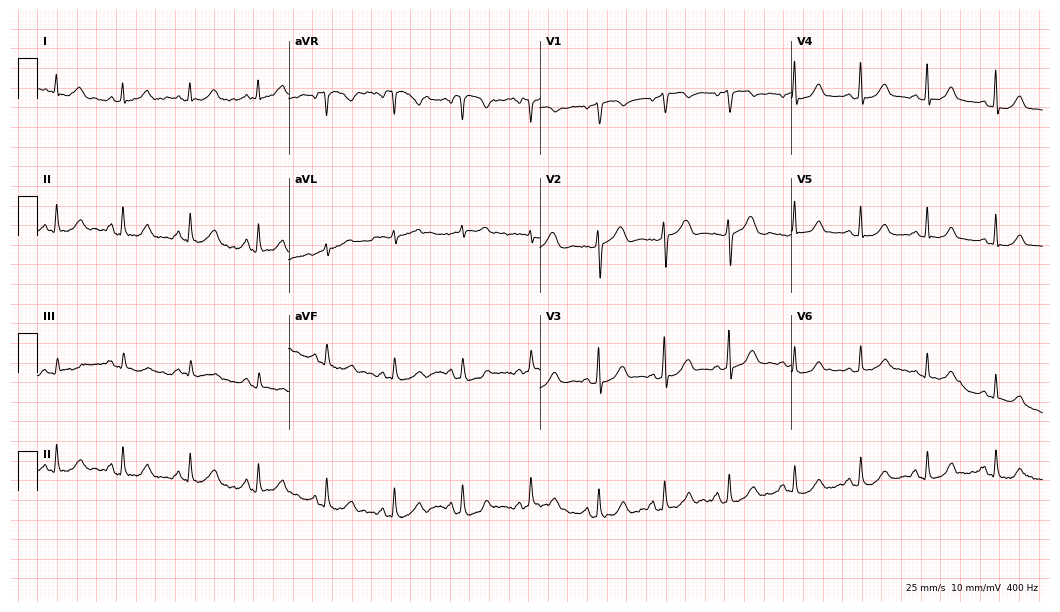
12-lead ECG (10.2-second recording at 400 Hz) from a 57-year-old female patient. Labelled as a normal ECG.